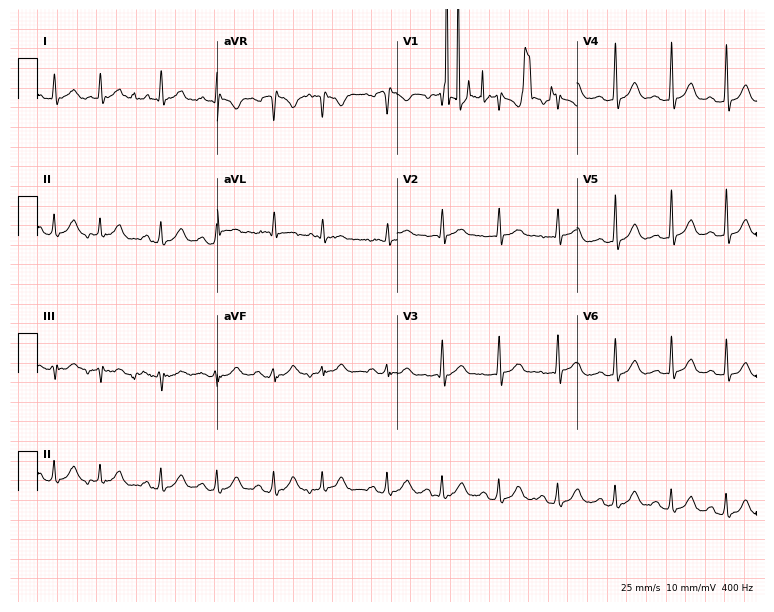
ECG (7.3-second recording at 400 Hz) — a male, 46 years old. Findings include sinus tachycardia (a sinus rate of 100 beats per minute or more).